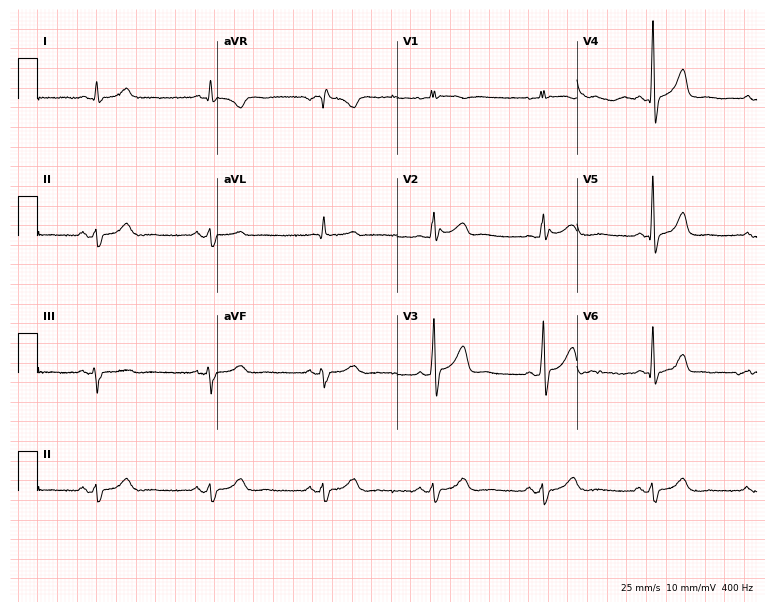
Electrocardiogram, a male patient, 62 years old. Of the six screened findings (first-degree AV block, right bundle branch block (RBBB), left bundle branch block (LBBB), sinus bradycardia, atrial fibrillation (AF), sinus tachycardia), none is recorded. Other findings, if any, are not listed.